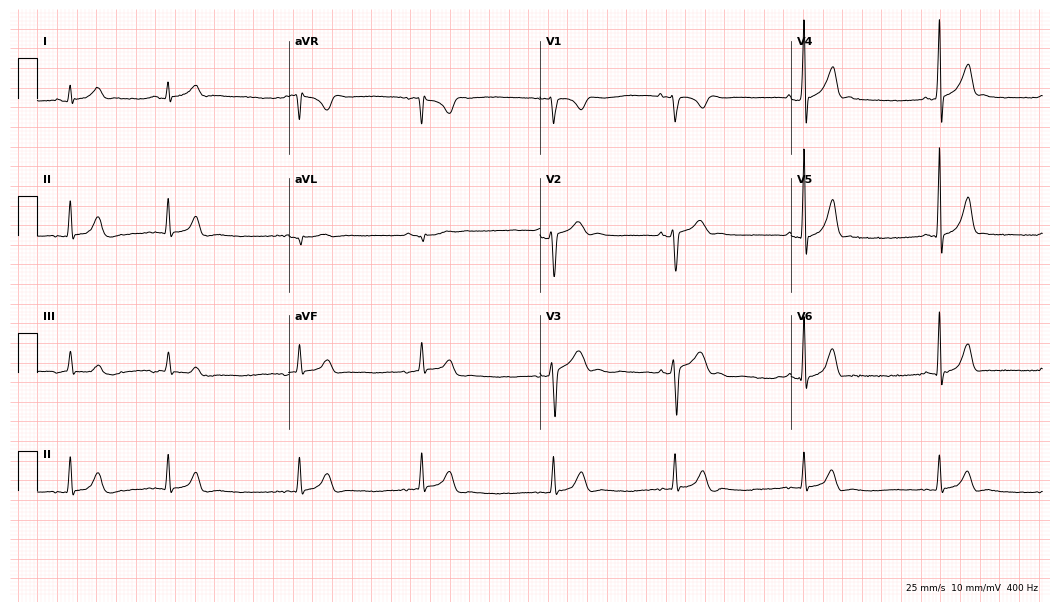
12-lead ECG from a male, 20 years old. Screened for six findings — first-degree AV block, right bundle branch block, left bundle branch block, sinus bradycardia, atrial fibrillation, sinus tachycardia — none is recorded.